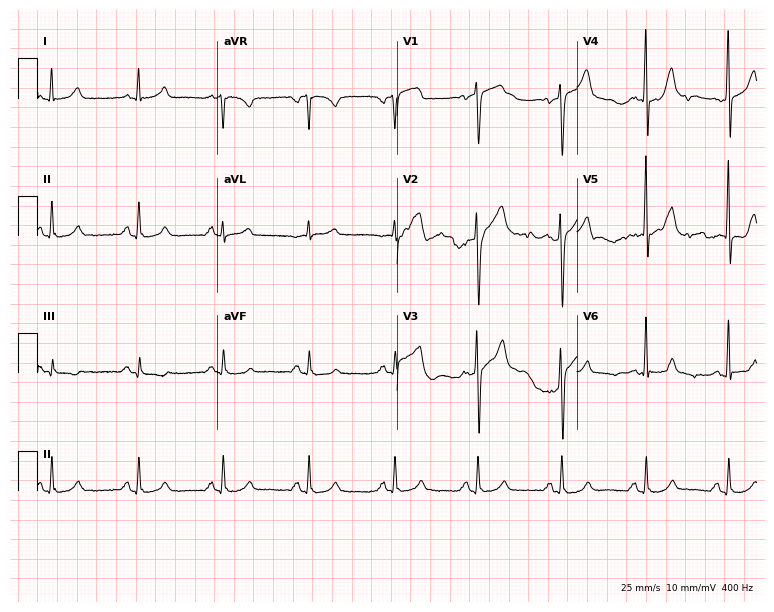
12-lead ECG from a 65-year-old male patient (7.3-second recording at 400 Hz). Recorded interpretation: within normal limits.